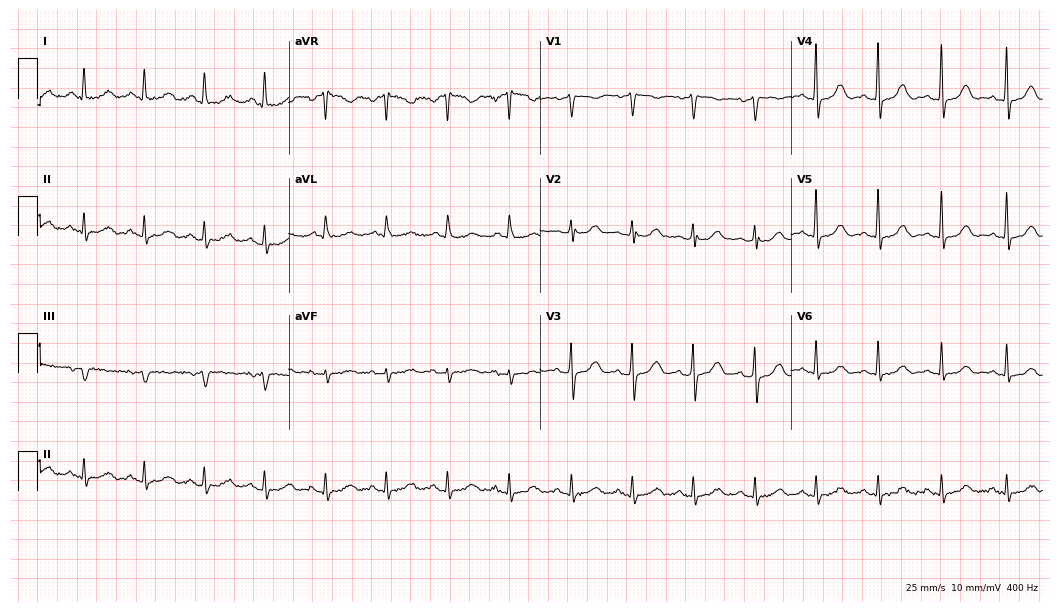
12-lead ECG from a female, 54 years old (10.2-second recording at 400 Hz). No first-degree AV block, right bundle branch block, left bundle branch block, sinus bradycardia, atrial fibrillation or sinus tachycardia recorded for this tracing. Other findings, if any, are not listed.